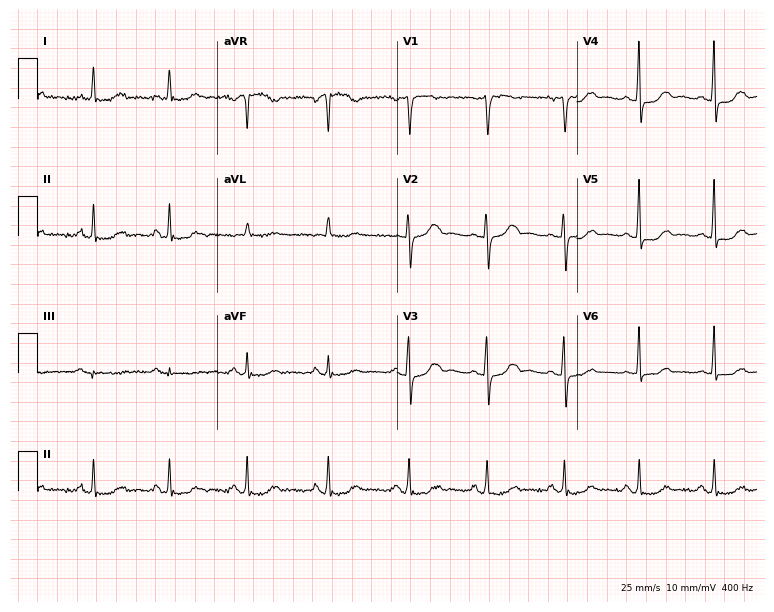
12-lead ECG (7.3-second recording at 400 Hz) from a female patient, 55 years old. Screened for six findings — first-degree AV block, right bundle branch block (RBBB), left bundle branch block (LBBB), sinus bradycardia, atrial fibrillation (AF), sinus tachycardia — none is recorded. Only these six findings were labelled.